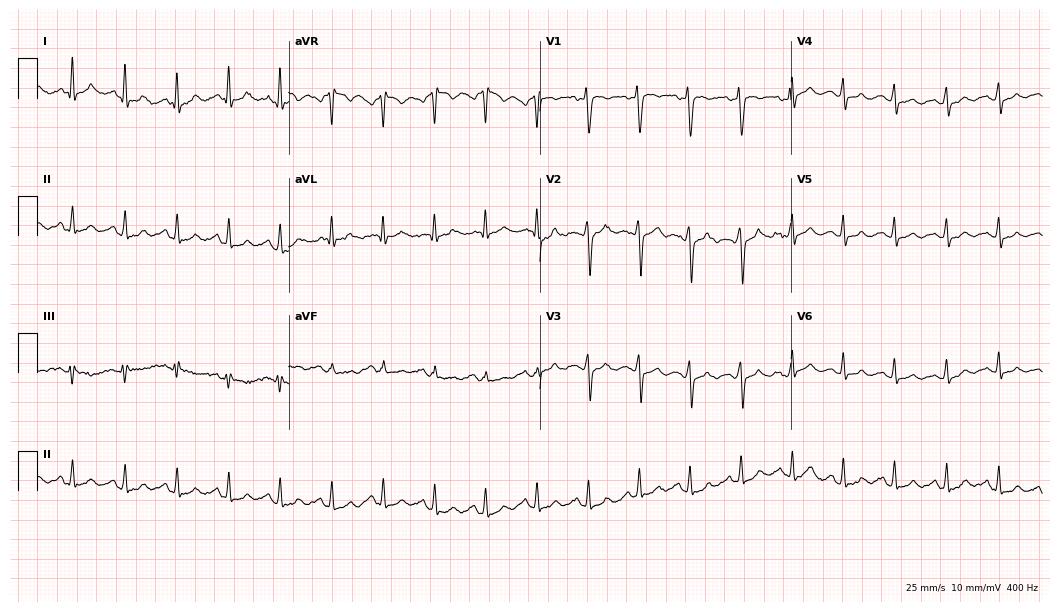
Electrocardiogram (10.2-second recording at 400 Hz), a woman, 48 years old. Of the six screened findings (first-degree AV block, right bundle branch block, left bundle branch block, sinus bradycardia, atrial fibrillation, sinus tachycardia), none is recorded. Findings outside these six are not listed.